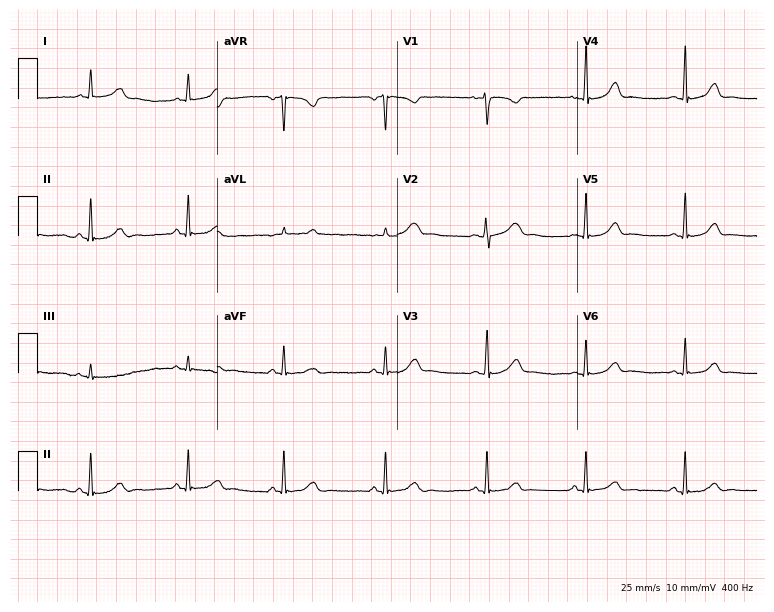
12-lead ECG from a female patient, 29 years old. Screened for six findings — first-degree AV block, right bundle branch block (RBBB), left bundle branch block (LBBB), sinus bradycardia, atrial fibrillation (AF), sinus tachycardia — none is recorded. Other findings, if any, are not listed.